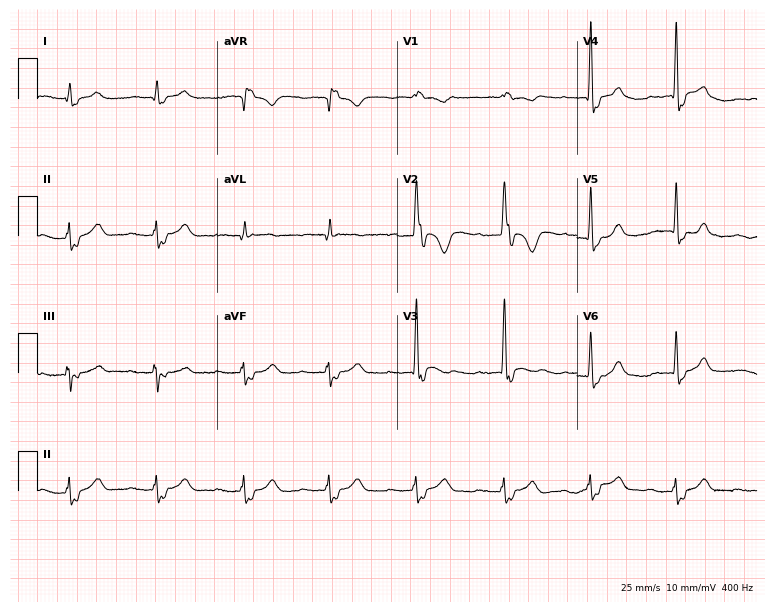
Resting 12-lead electrocardiogram. Patient: an 82-year-old male. None of these six findings is recorded: first-degree AV block, right bundle branch block (RBBB), left bundle branch block (LBBB), sinus bradycardia, atrial fibrillation (AF), sinus tachycardia. Other findings, if any, are not listed.